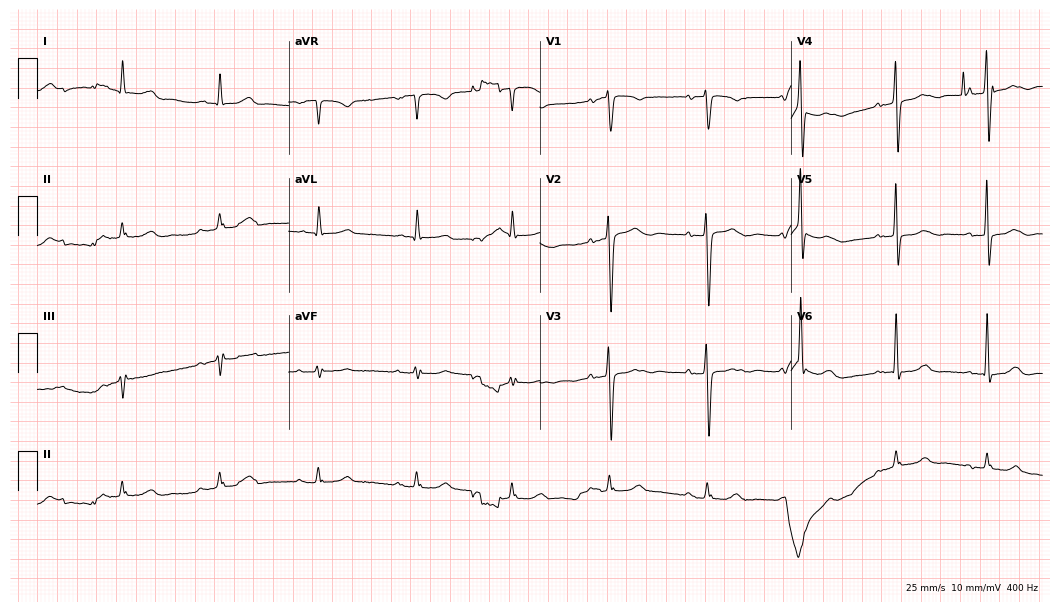
Electrocardiogram, an 82-year-old female patient. Of the six screened findings (first-degree AV block, right bundle branch block, left bundle branch block, sinus bradycardia, atrial fibrillation, sinus tachycardia), none is recorded. Findings outside these six are not listed.